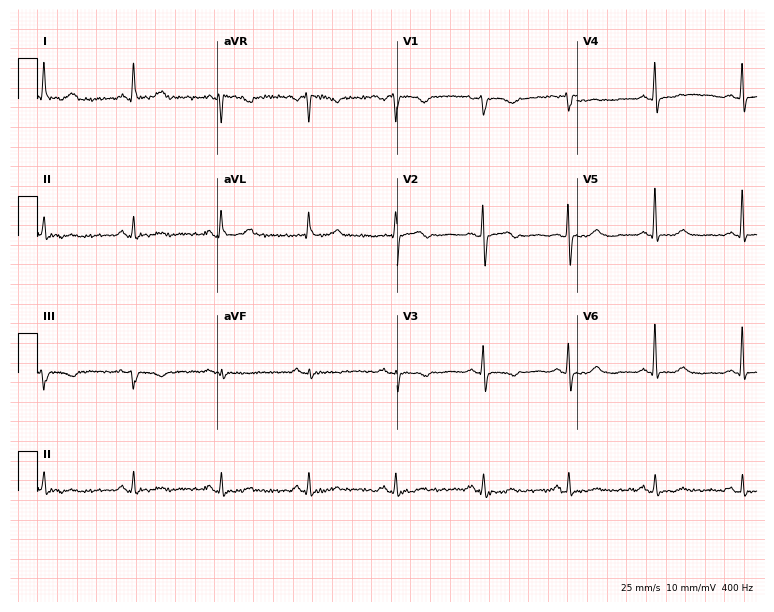
Electrocardiogram, a 74-year-old woman. Of the six screened findings (first-degree AV block, right bundle branch block (RBBB), left bundle branch block (LBBB), sinus bradycardia, atrial fibrillation (AF), sinus tachycardia), none is recorded.